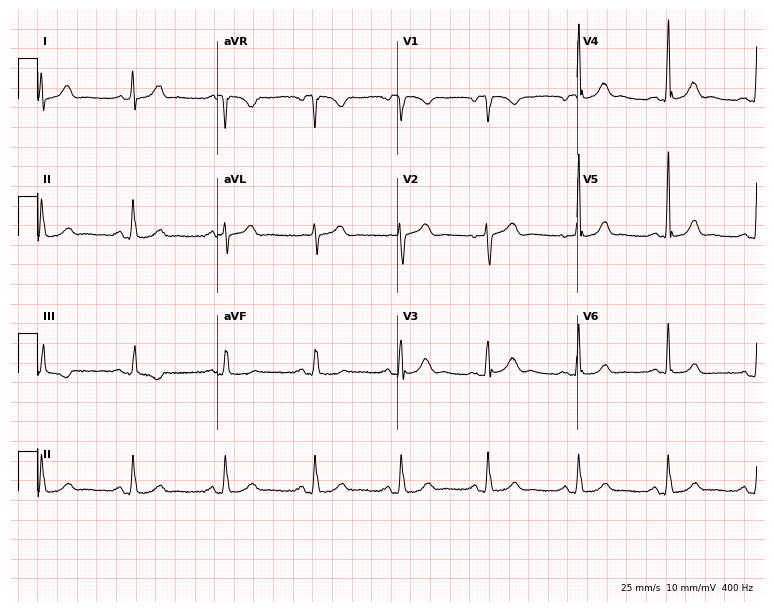
12-lead ECG from a 53-year-old male. Labelled as a normal ECG.